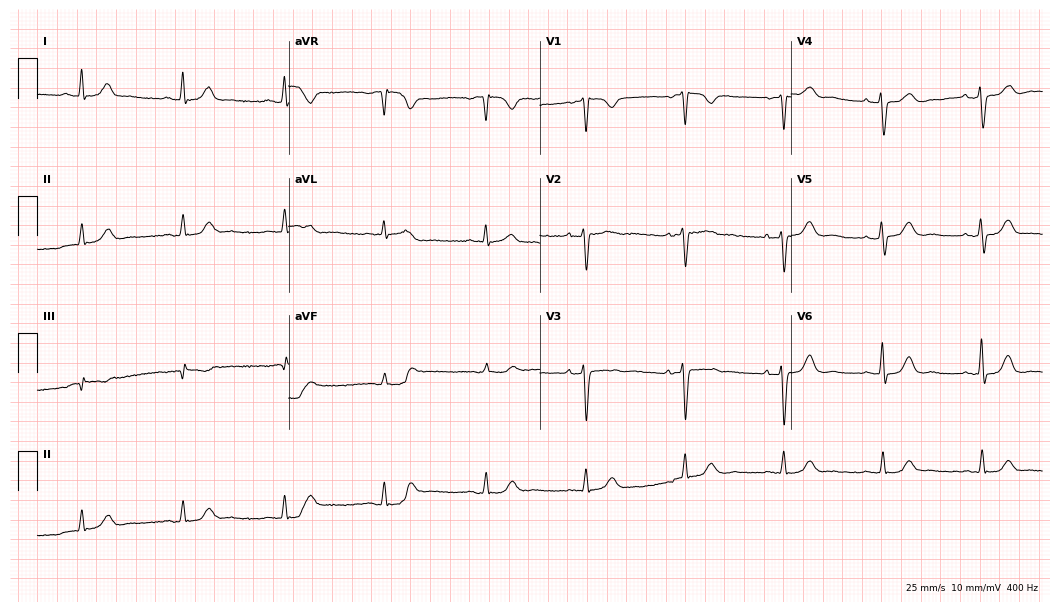
Standard 12-lead ECG recorded from a 71-year-old man. Read as a normal ECG.